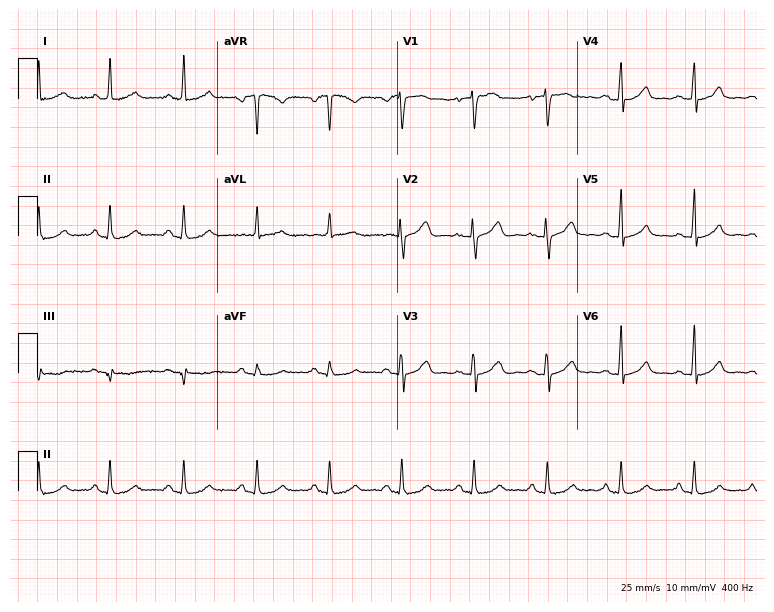
12-lead ECG from a woman, 54 years old. Labelled as a normal ECG.